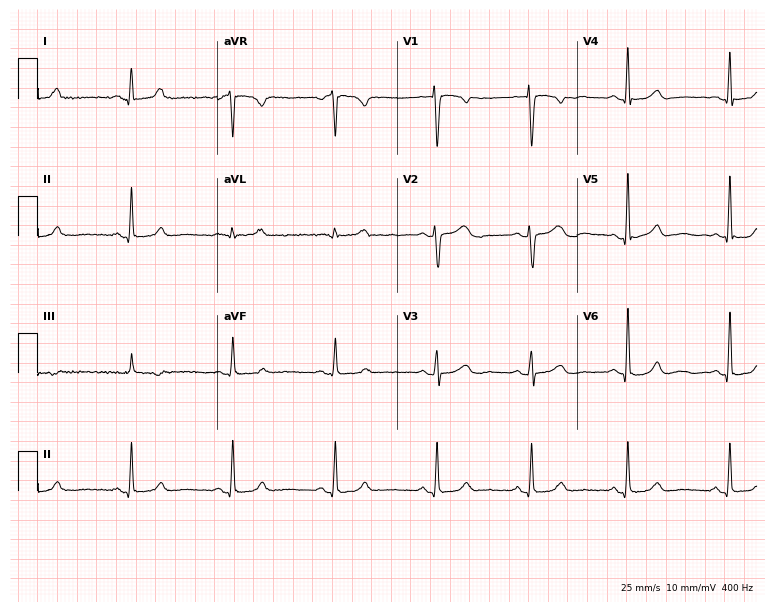
Resting 12-lead electrocardiogram. Patient: a 51-year-old female. Read as a normal ECG.